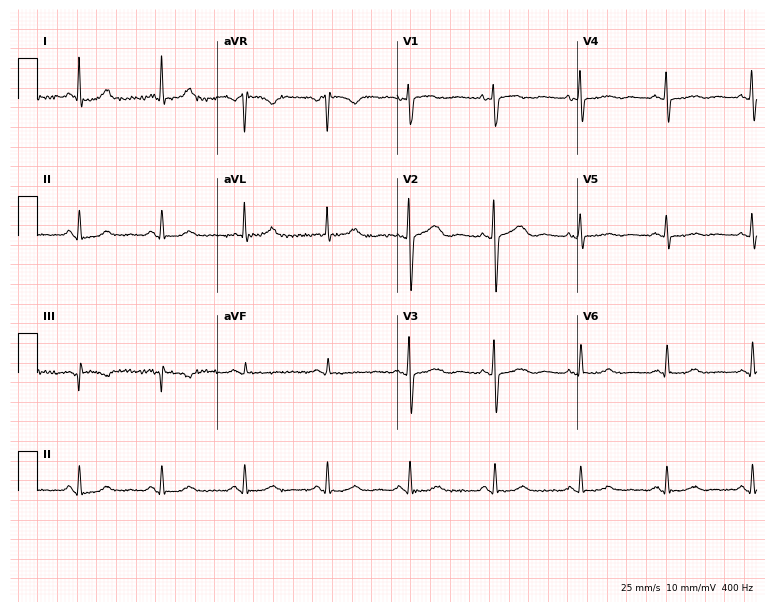
12-lead ECG from a 64-year-old woman. No first-degree AV block, right bundle branch block, left bundle branch block, sinus bradycardia, atrial fibrillation or sinus tachycardia recorded for this tracing.